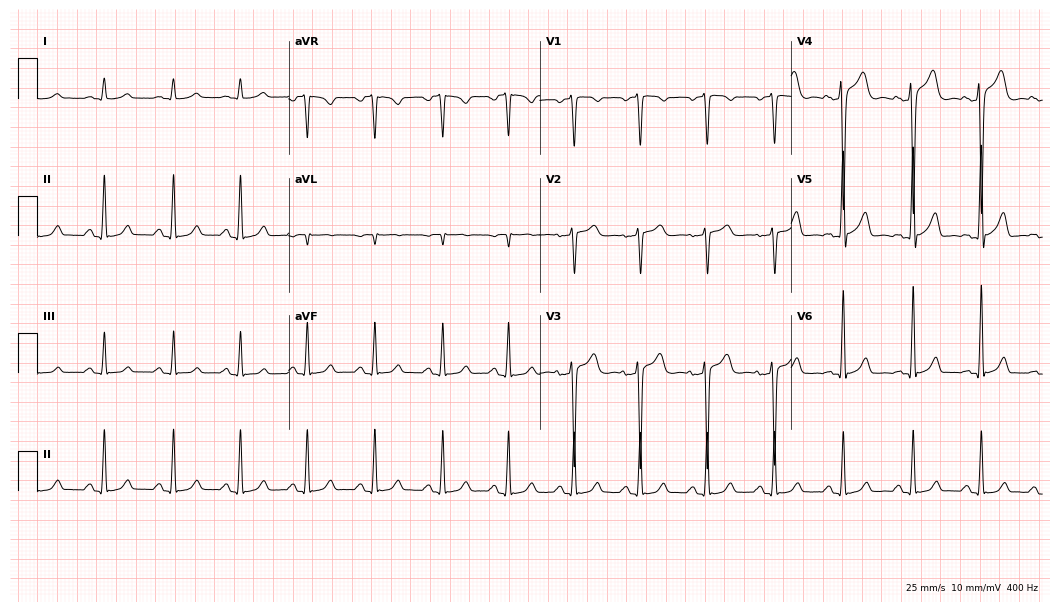
ECG — a 43-year-old male. Labelled as a normal ECG.